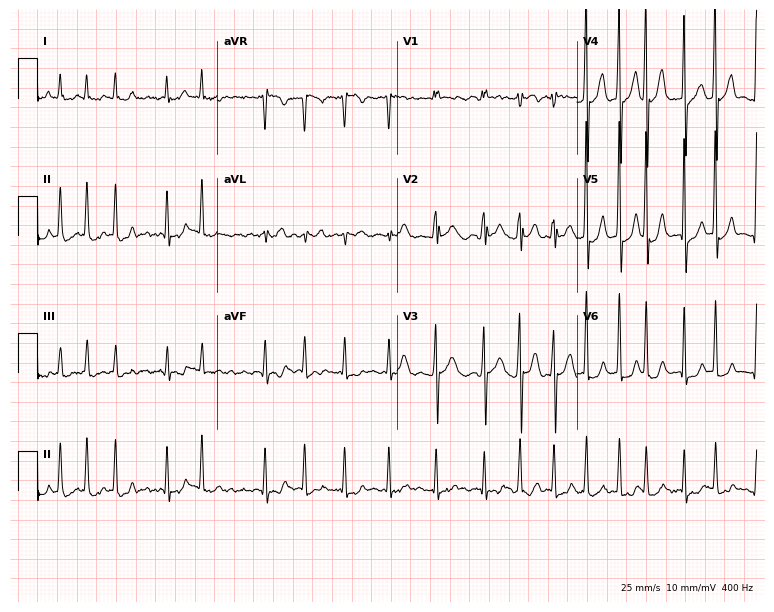
Resting 12-lead electrocardiogram. Patient: a female, 82 years old. The tracing shows atrial fibrillation.